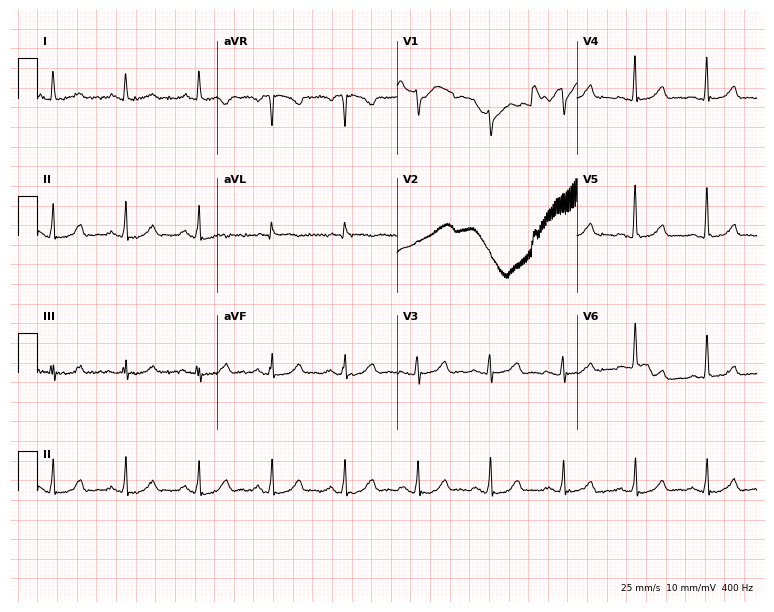
ECG (7.3-second recording at 400 Hz) — a female patient, 84 years old. Screened for six findings — first-degree AV block, right bundle branch block, left bundle branch block, sinus bradycardia, atrial fibrillation, sinus tachycardia — none is recorded.